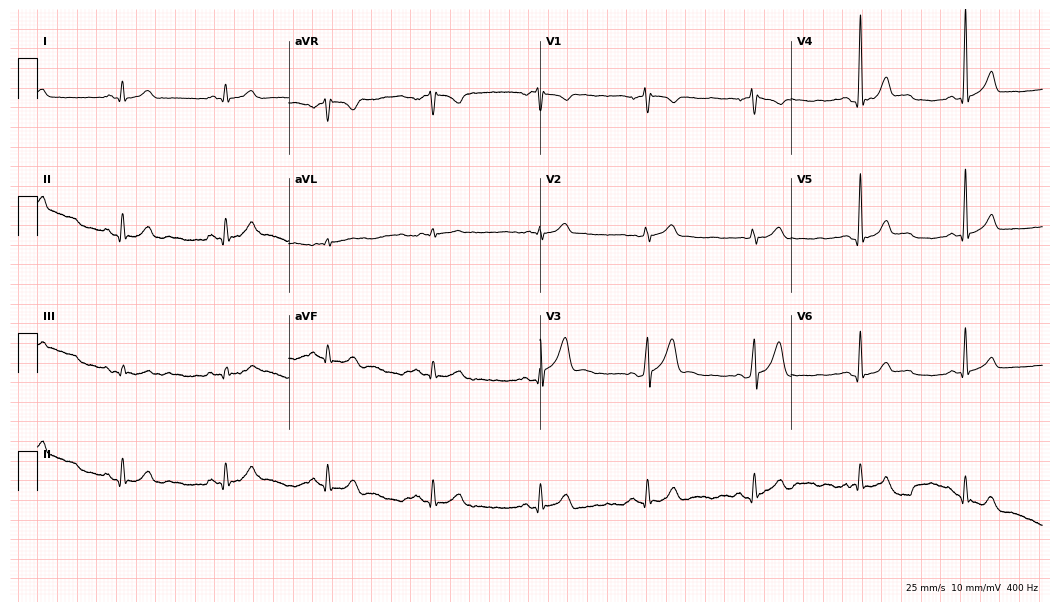
ECG — a male patient, 31 years old. Screened for six findings — first-degree AV block, right bundle branch block (RBBB), left bundle branch block (LBBB), sinus bradycardia, atrial fibrillation (AF), sinus tachycardia — none is recorded. Only these six findings were labelled.